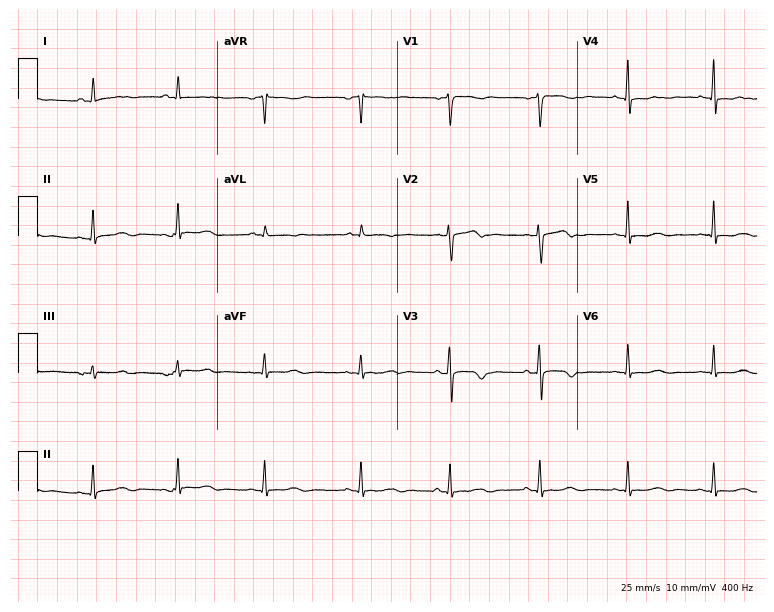
Resting 12-lead electrocardiogram (7.3-second recording at 400 Hz). Patient: a woman, 60 years old. None of these six findings is recorded: first-degree AV block, right bundle branch block, left bundle branch block, sinus bradycardia, atrial fibrillation, sinus tachycardia.